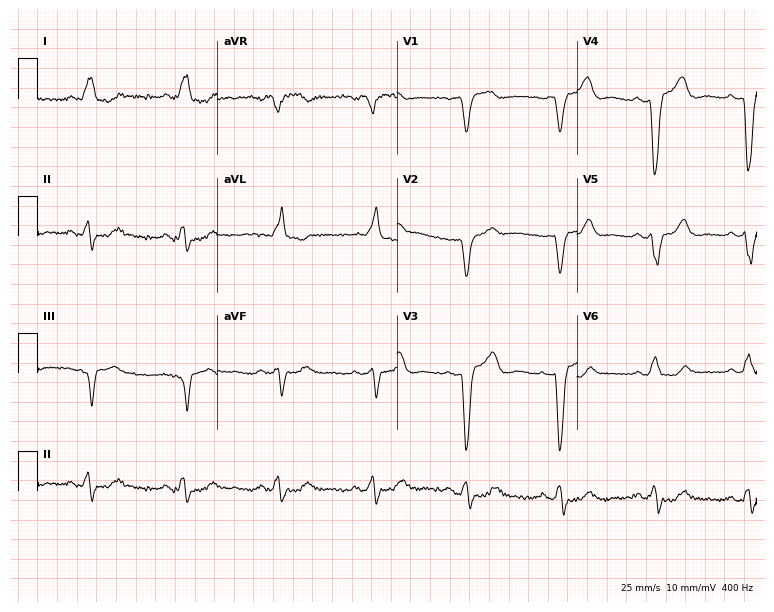
Resting 12-lead electrocardiogram (7.3-second recording at 400 Hz). Patient: a female, 81 years old. None of these six findings is recorded: first-degree AV block, right bundle branch block, left bundle branch block, sinus bradycardia, atrial fibrillation, sinus tachycardia.